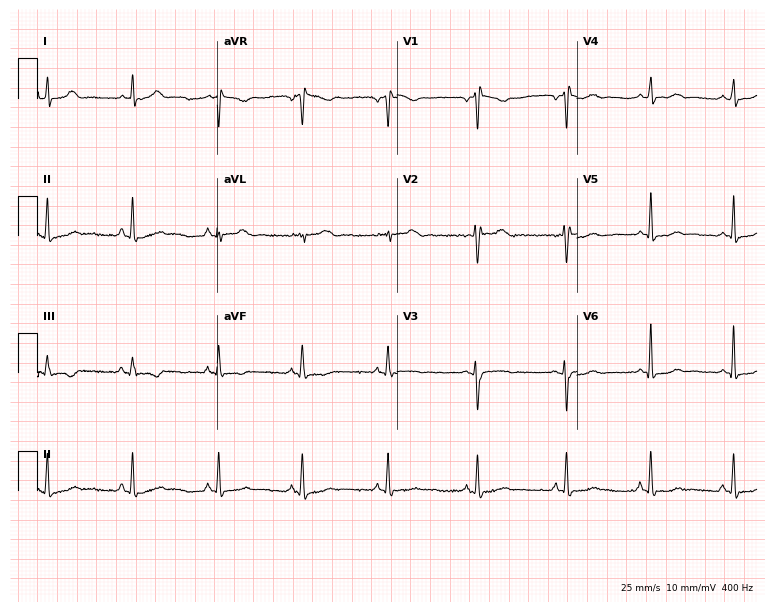
12-lead ECG (7.3-second recording at 400 Hz) from a female patient, 25 years old. Screened for six findings — first-degree AV block, right bundle branch block, left bundle branch block, sinus bradycardia, atrial fibrillation, sinus tachycardia — none is recorded. Findings outside these six are not listed.